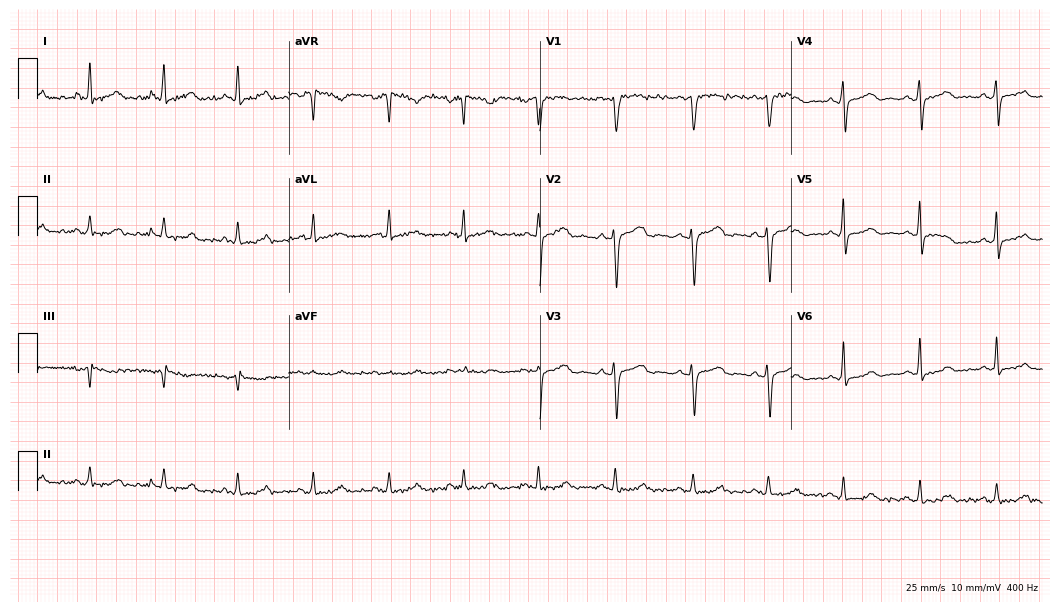
Standard 12-lead ECG recorded from a female patient, 37 years old (10.2-second recording at 400 Hz). None of these six findings is recorded: first-degree AV block, right bundle branch block, left bundle branch block, sinus bradycardia, atrial fibrillation, sinus tachycardia.